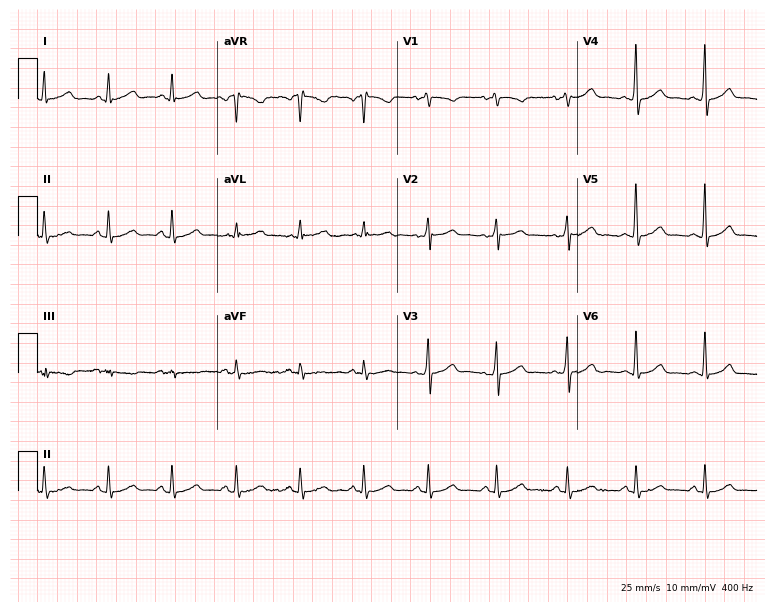
12-lead ECG from a female patient, 35 years old (7.3-second recording at 400 Hz). Recorded interpretation: within normal limits.